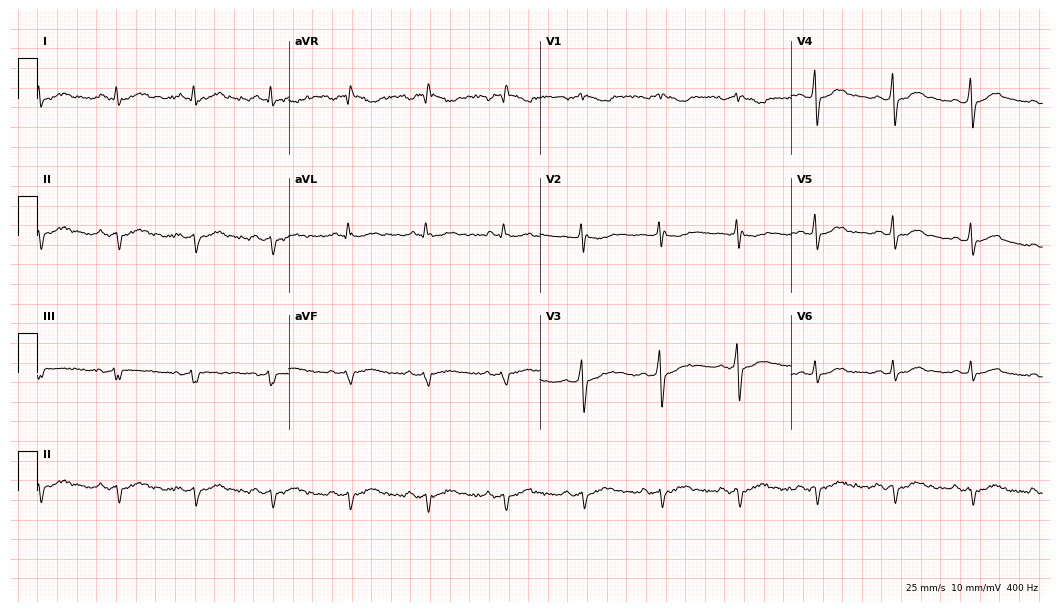
12-lead ECG from a male patient, 59 years old (10.2-second recording at 400 Hz). No first-degree AV block, right bundle branch block, left bundle branch block, sinus bradycardia, atrial fibrillation or sinus tachycardia recorded for this tracing.